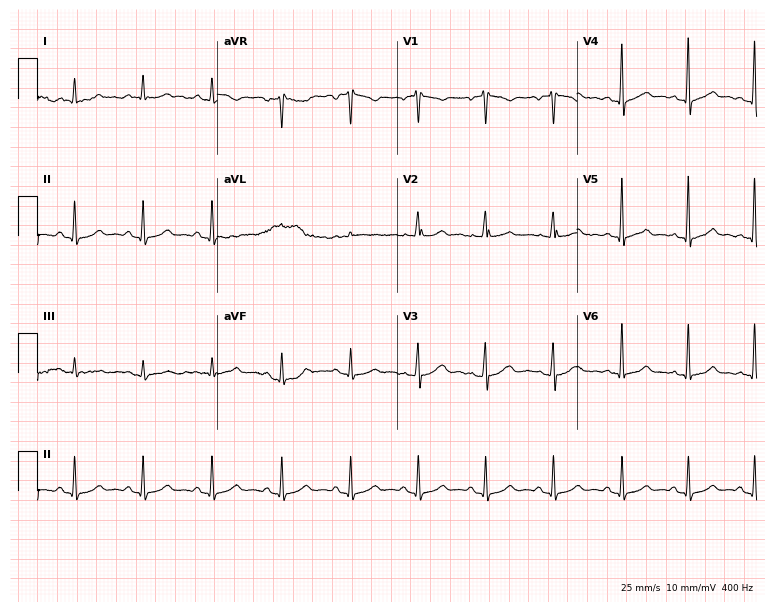
Resting 12-lead electrocardiogram (7.3-second recording at 400 Hz). Patient: a 29-year-old female. Read as a normal ECG.